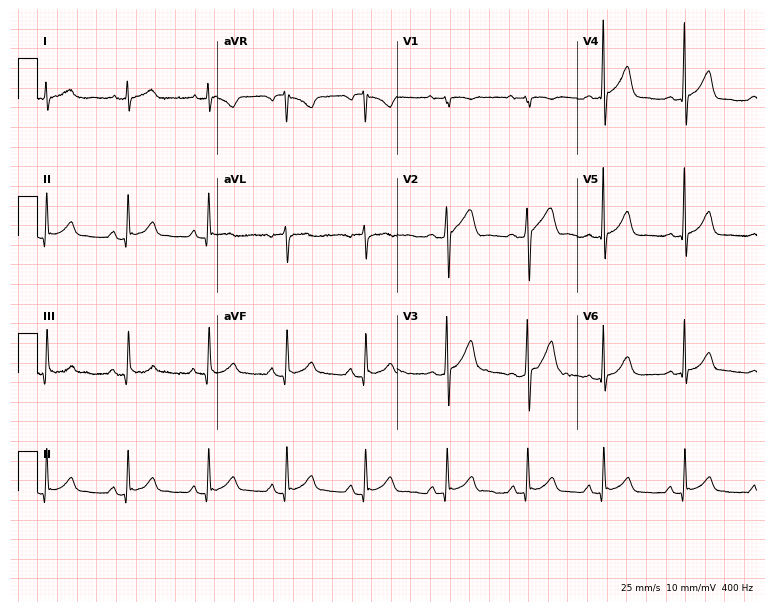
Standard 12-lead ECG recorded from a 35-year-old male patient (7.3-second recording at 400 Hz). Read as a normal ECG.